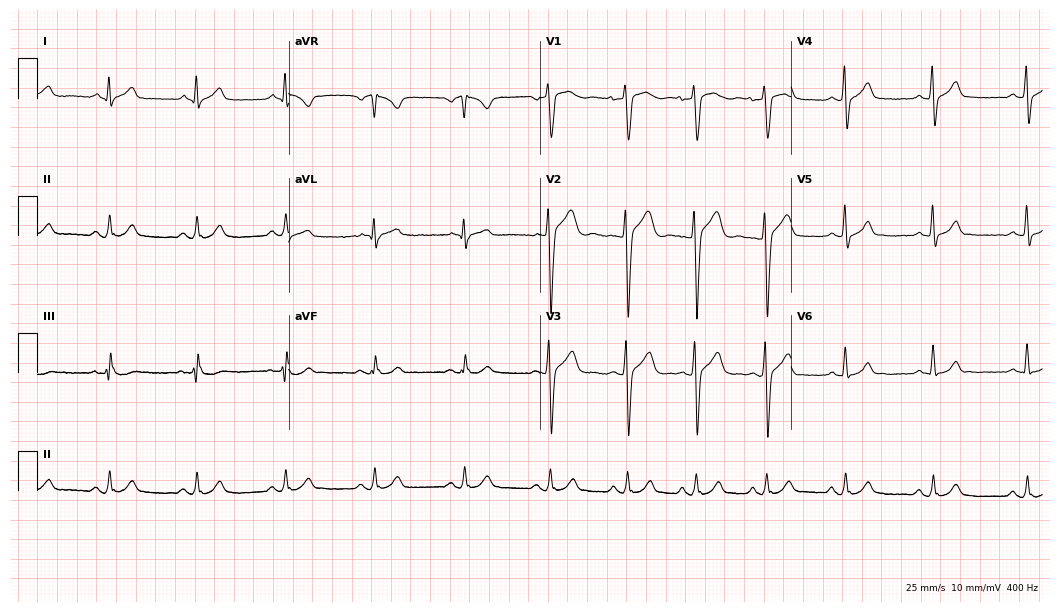
12-lead ECG from a 30-year-old man. Screened for six findings — first-degree AV block, right bundle branch block, left bundle branch block, sinus bradycardia, atrial fibrillation, sinus tachycardia — none is recorded.